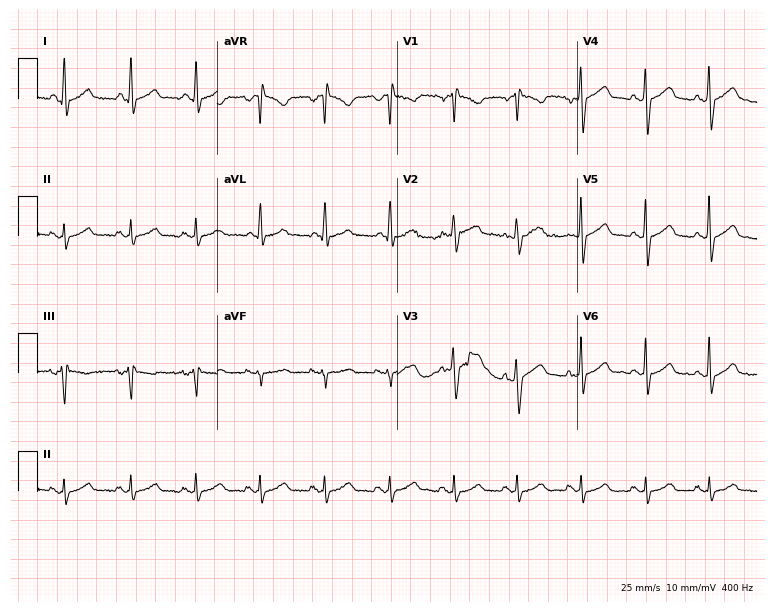
Resting 12-lead electrocardiogram (7.3-second recording at 400 Hz). Patient: a man, 53 years old. None of these six findings is recorded: first-degree AV block, right bundle branch block (RBBB), left bundle branch block (LBBB), sinus bradycardia, atrial fibrillation (AF), sinus tachycardia. Only these six findings were labelled.